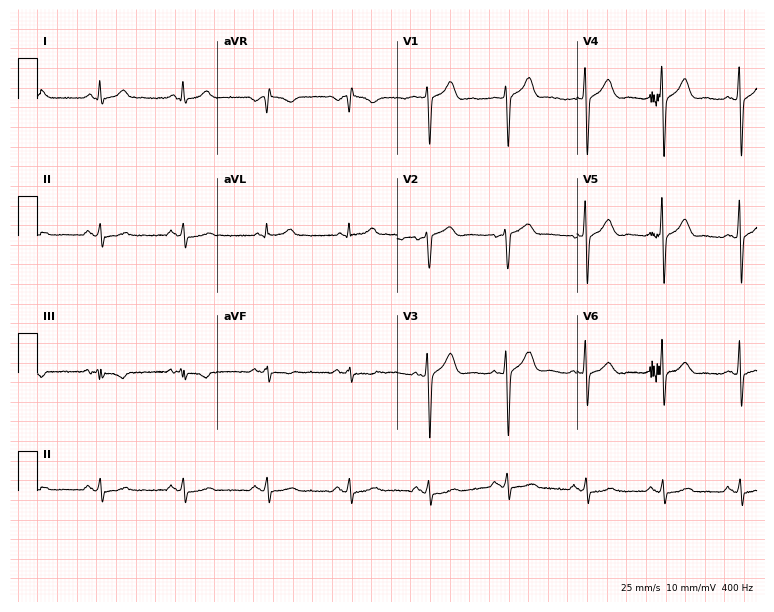
Standard 12-lead ECG recorded from a male, 48 years old (7.3-second recording at 400 Hz). Read as a normal ECG.